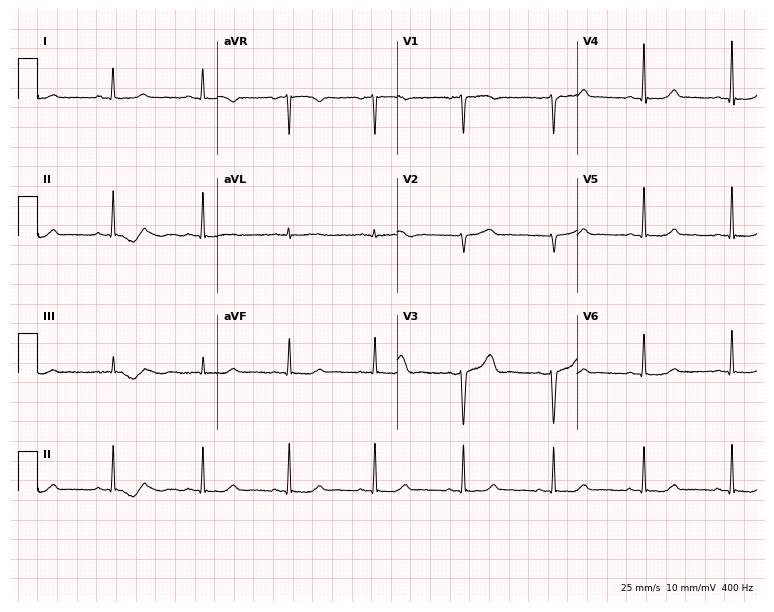
12-lead ECG from a 55-year-old male patient (7.3-second recording at 400 Hz). No first-degree AV block, right bundle branch block (RBBB), left bundle branch block (LBBB), sinus bradycardia, atrial fibrillation (AF) or sinus tachycardia recorded for this tracing.